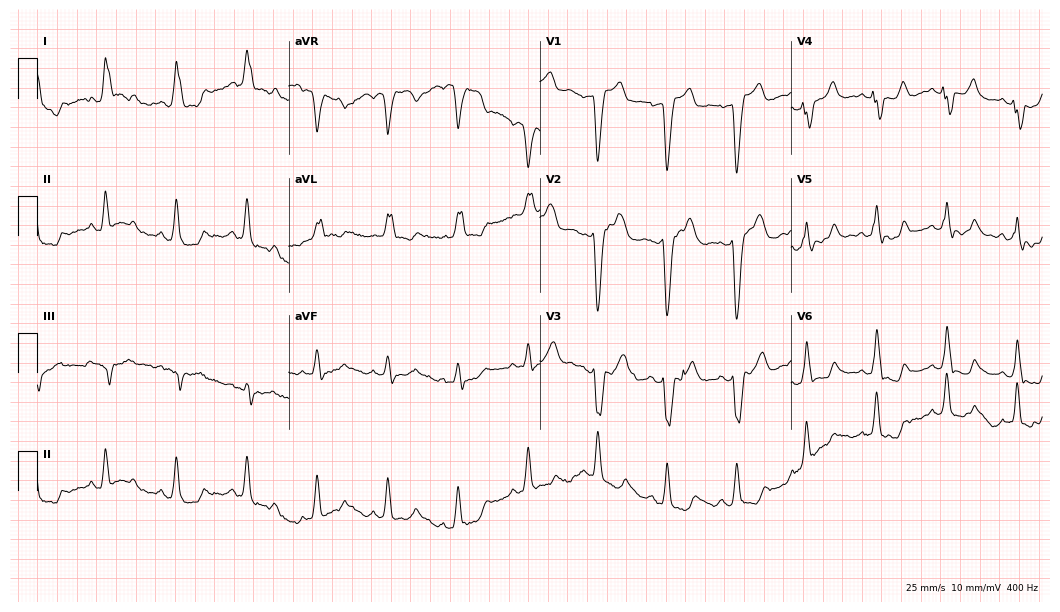
Resting 12-lead electrocardiogram. Patient: a 70-year-old female. The tracing shows left bundle branch block.